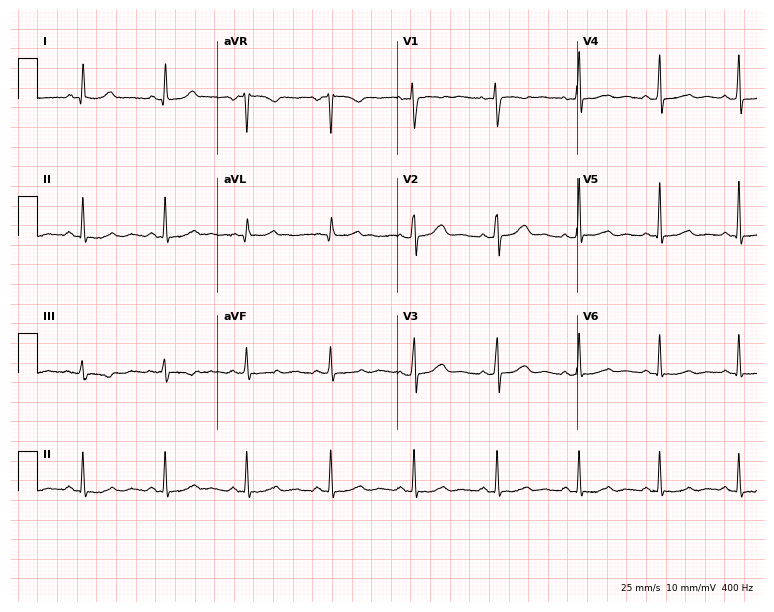
Standard 12-lead ECG recorded from a 44-year-old female patient (7.3-second recording at 400 Hz). None of these six findings is recorded: first-degree AV block, right bundle branch block (RBBB), left bundle branch block (LBBB), sinus bradycardia, atrial fibrillation (AF), sinus tachycardia.